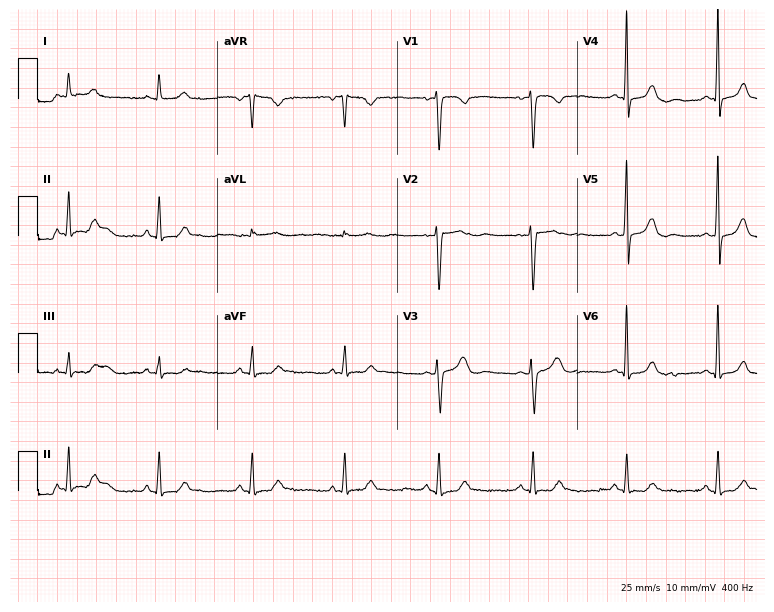
Resting 12-lead electrocardiogram (7.3-second recording at 400 Hz). Patient: a 48-year-old woman. None of these six findings is recorded: first-degree AV block, right bundle branch block, left bundle branch block, sinus bradycardia, atrial fibrillation, sinus tachycardia. Other findings, if any, are not listed.